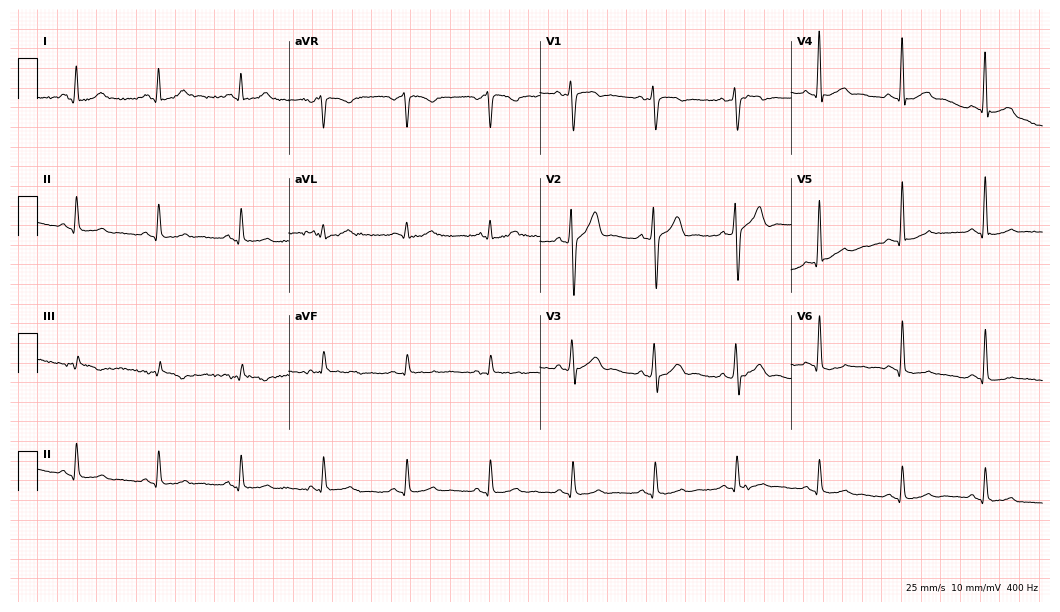
ECG — a male patient, 45 years old. Screened for six findings — first-degree AV block, right bundle branch block, left bundle branch block, sinus bradycardia, atrial fibrillation, sinus tachycardia — none is recorded.